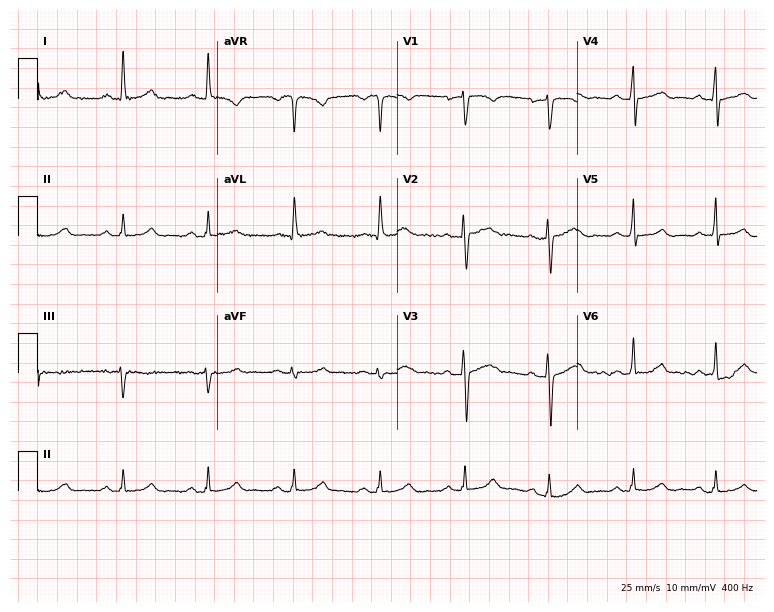
12-lead ECG from a 51-year-old man. Labelled as a normal ECG.